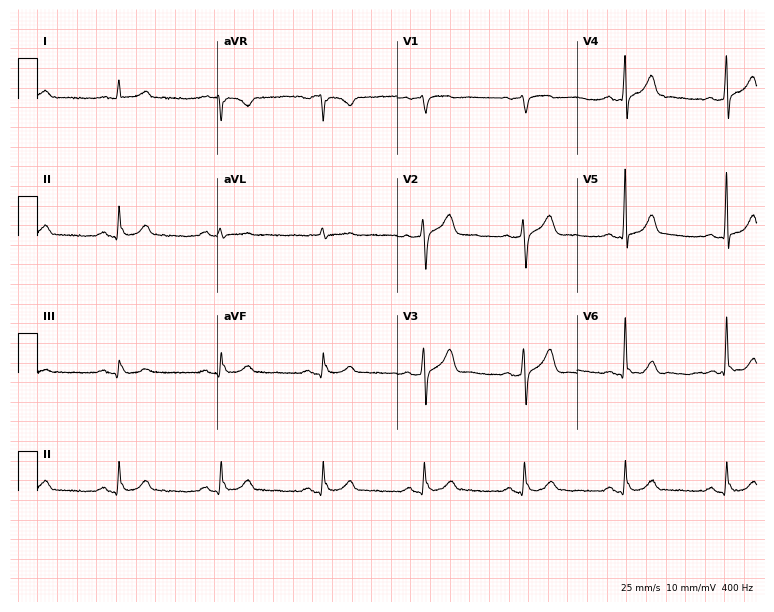
12-lead ECG (7.3-second recording at 400 Hz) from a male, 73 years old. Labelled as a normal ECG.